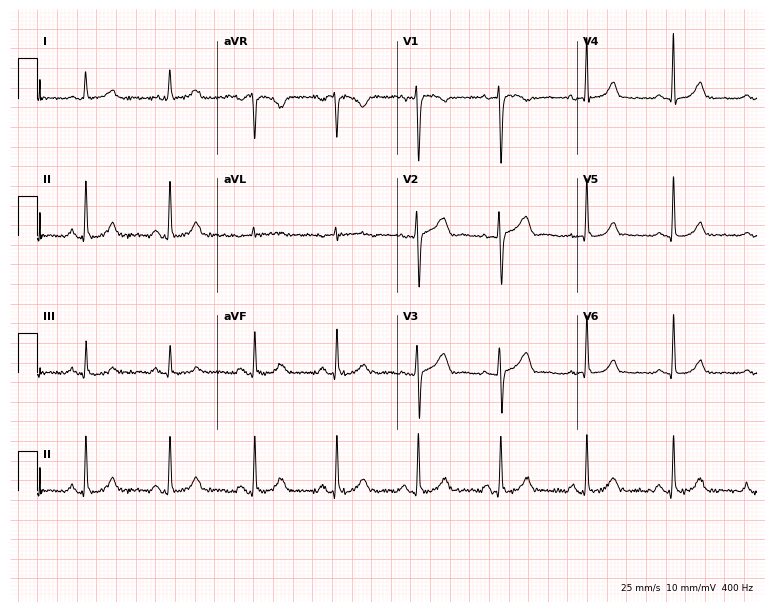
Resting 12-lead electrocardiogram (7.3-second recording at 400 Hz). Patient: a 53-year-old woman. Read as a normal ECG.